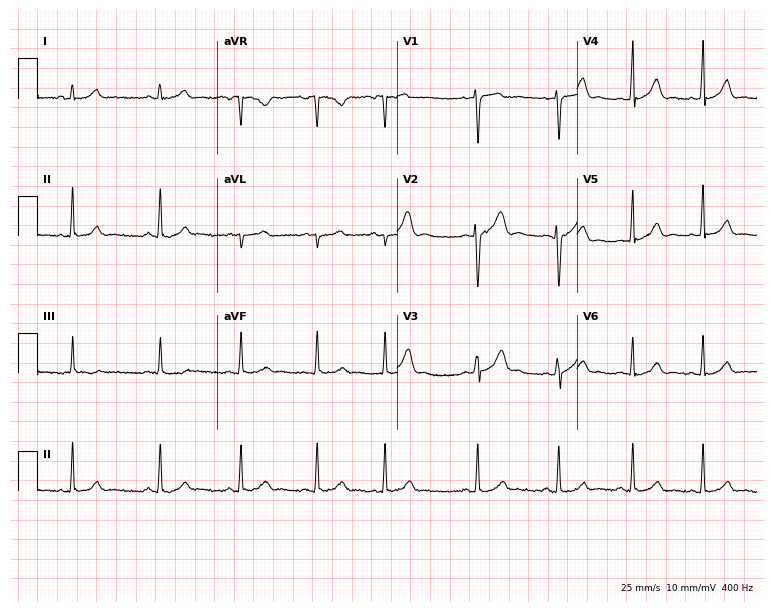
12-lead ECG from a 17-year-old female. Labelled as a normal ECG.